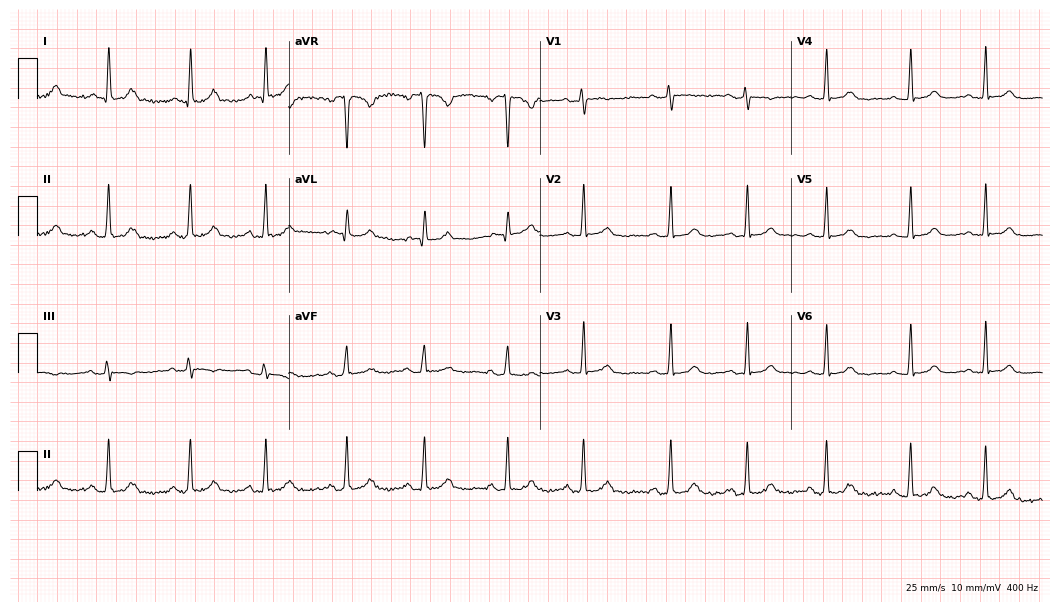
Resting 12-lead electrocardiogram (10.2-second recording at 400 Hz). Patient: a 27-year-old female. None of these six findings is recorded: first-degree AV block, right bundle branch block, left bundle branch block, sinus bradycardia, atrial fibrillation, sinus tachycardia.